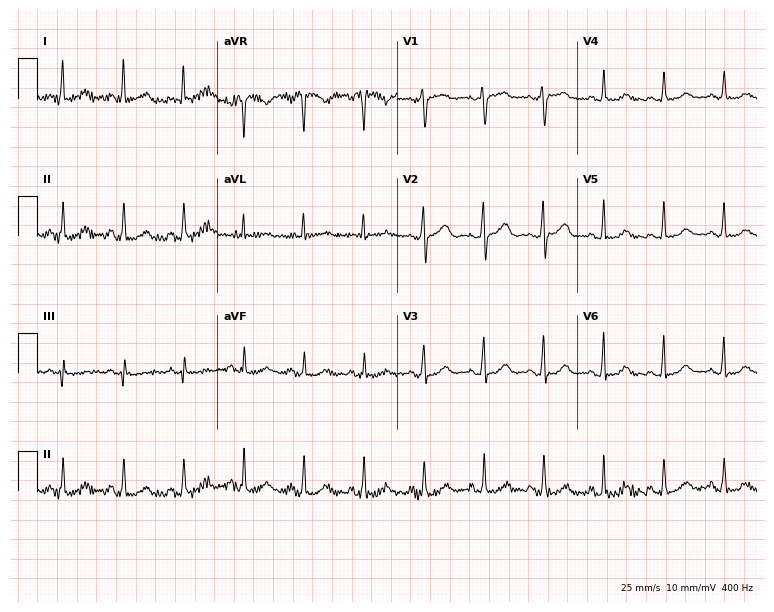
12-lead ECG from a 56-year-old female patient. No first-degree AV block, right bundle branch block (RBBB), left bundle branch block (LBBB), sinus bradycardia, atrial fibrillation (AF) or sinus tachycardia recorded for this tracing. Only these six findings were labelled.